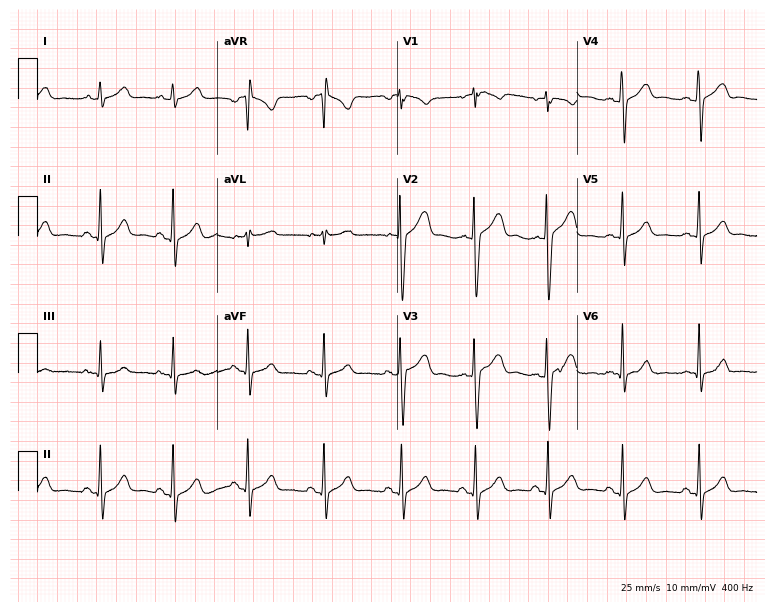
Electrocardiogram (7.3-second recording at 400 Hz), a woman, 36 years old. Overall reading on record: normal ECG.